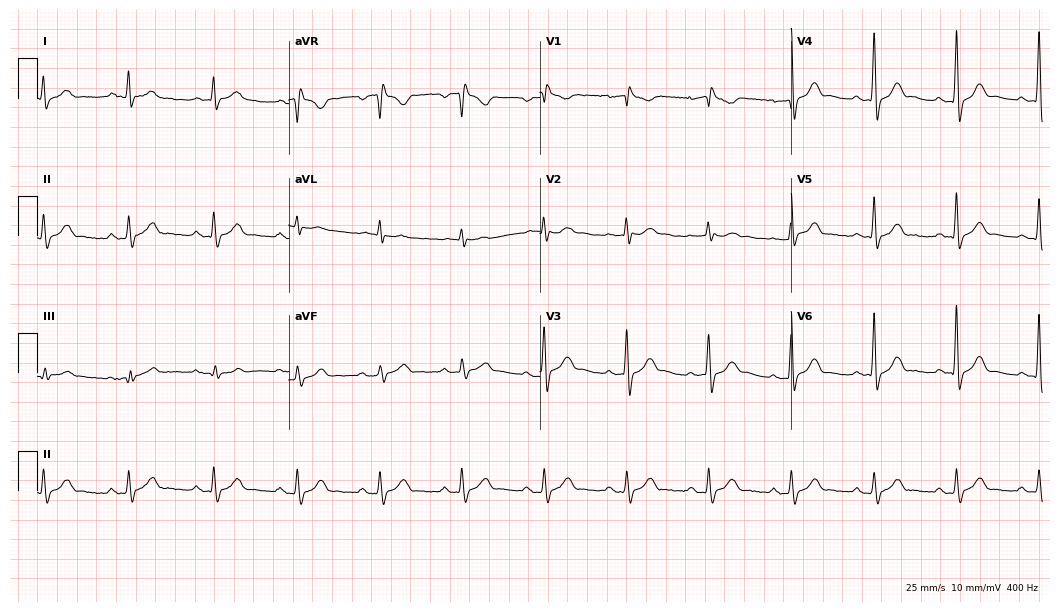
Electrocardiogram, a 72-year-old male patient. Of the six screened findings (first-degree AV block, right bundle branch block, left bundle branch block, sinus bradycardia, atrial fibrillation, sinus tachycardia), none is recorded.